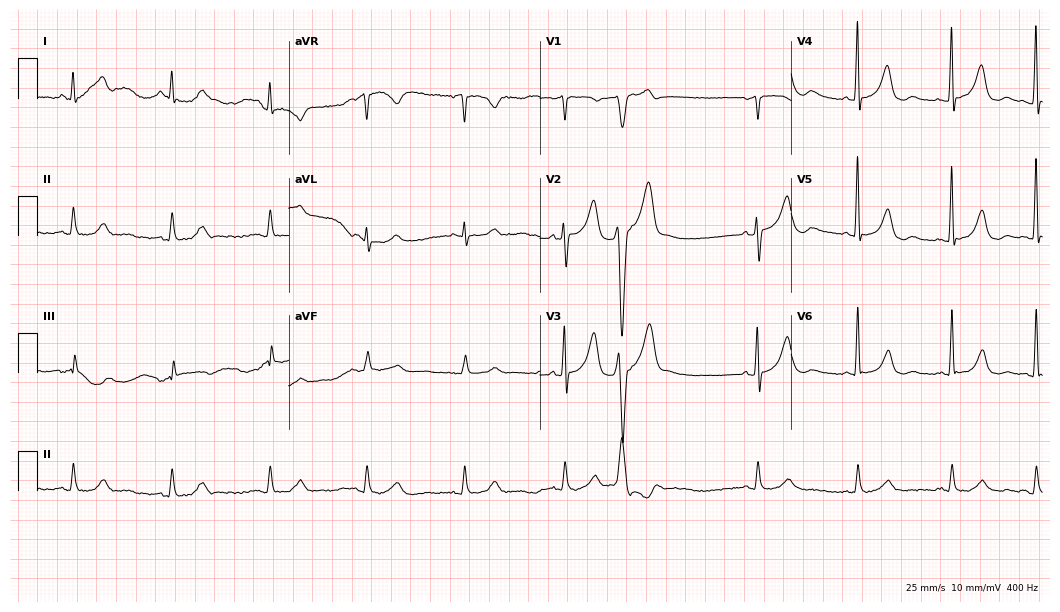
Standard 12-lead ECG recorded from an 81-year-old male. Read as a normal ECG.